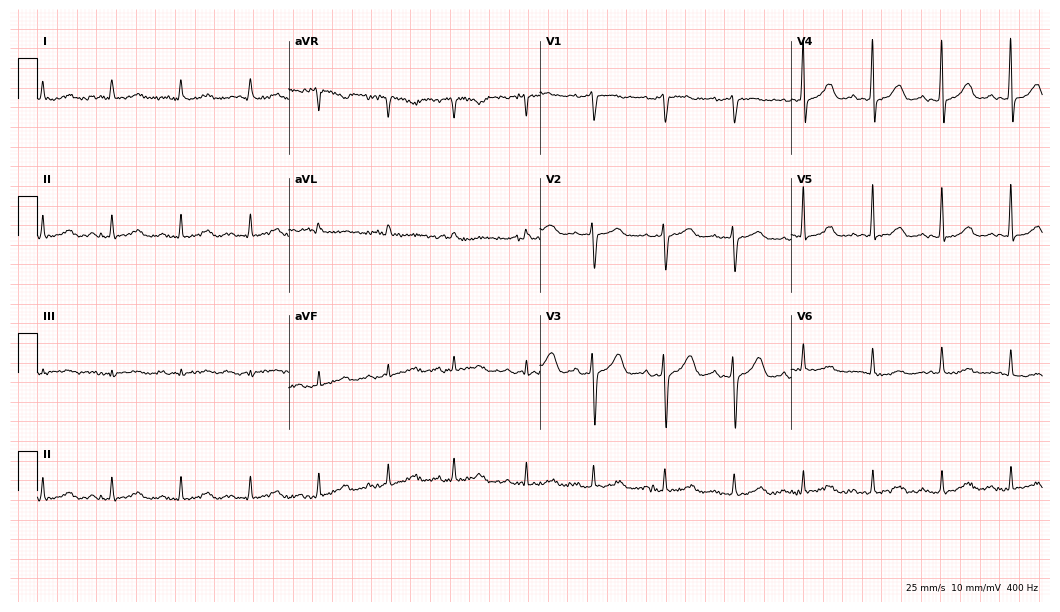
Standard 12-lead ECG recorded from an 82-year-old woman. The tracing shows first-degree AV block.